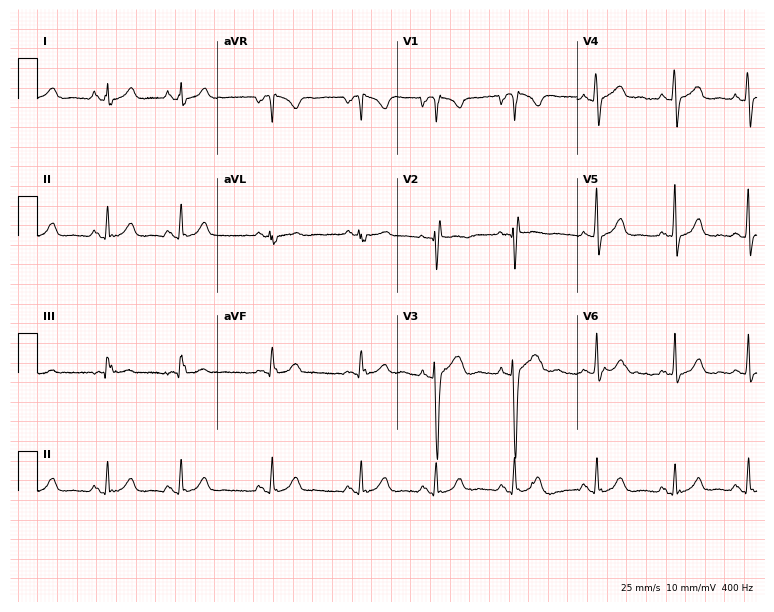
Electrocardiogram, an 18-year-old man. Of the six screened findings (first-degree AV block, right bundle branch block (RBBB), left bundle branch block (LBBB), sinus bradycardia, atrial fibrillation (AF), sinus tachycardia), none is recorded.